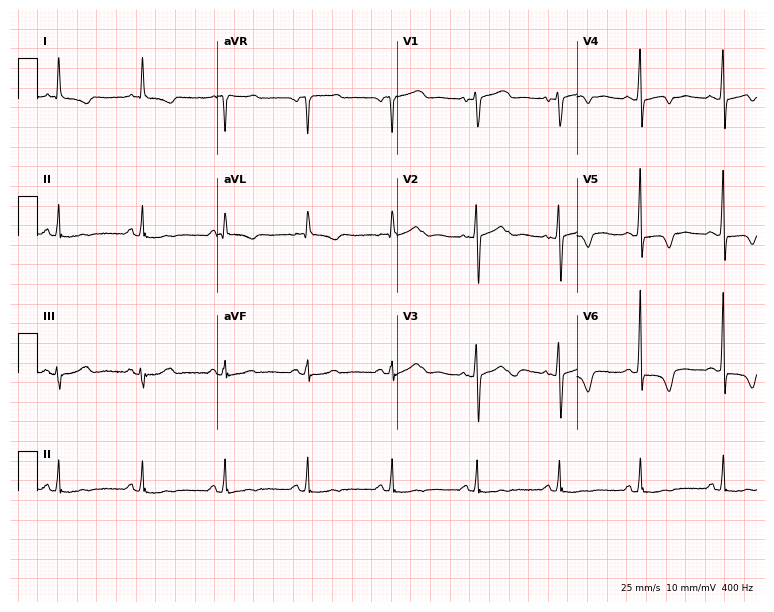
12-lead ECG from a woman, 56 years old. No first-degree AV block, right bundle branch block (RBBB), left bundle branch block (LBBB), sinus bradycardia, atrial fibrillation (AF) or sinus tachycardia recorded for this tracing.